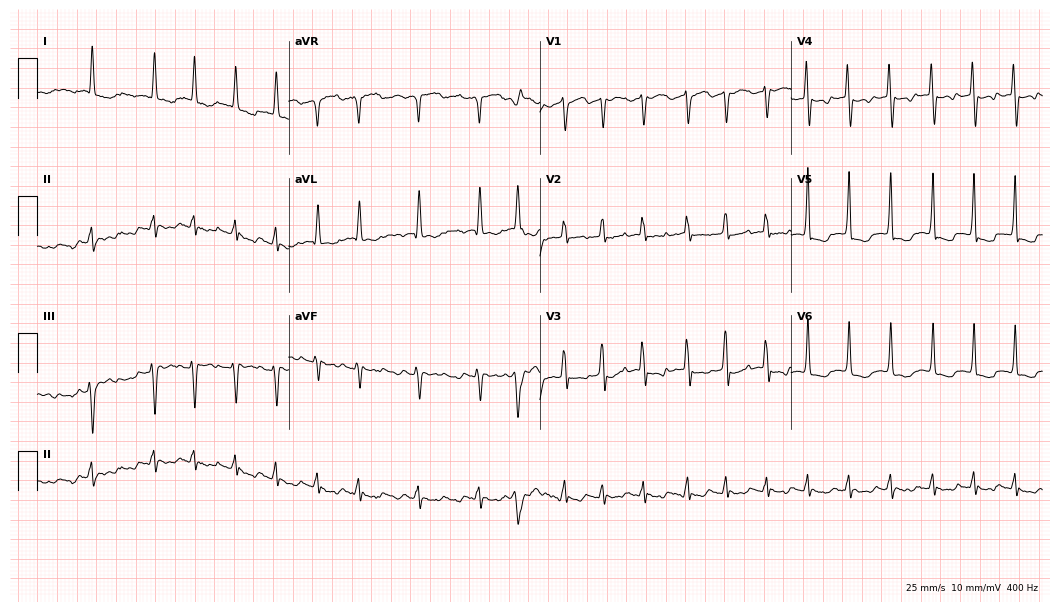
Electrocardiogram (10.2-second recording at 400 Hz), a female patient, 85 years old. Of the six screened findings (first-degree AV block, right bundle branch block (RBBB), left bundle branch block (LBBB), sinus bradycardia, atrial fibrillation (AF), sinus tachycardia), none is recorded. Other findings, if any, are not listed.